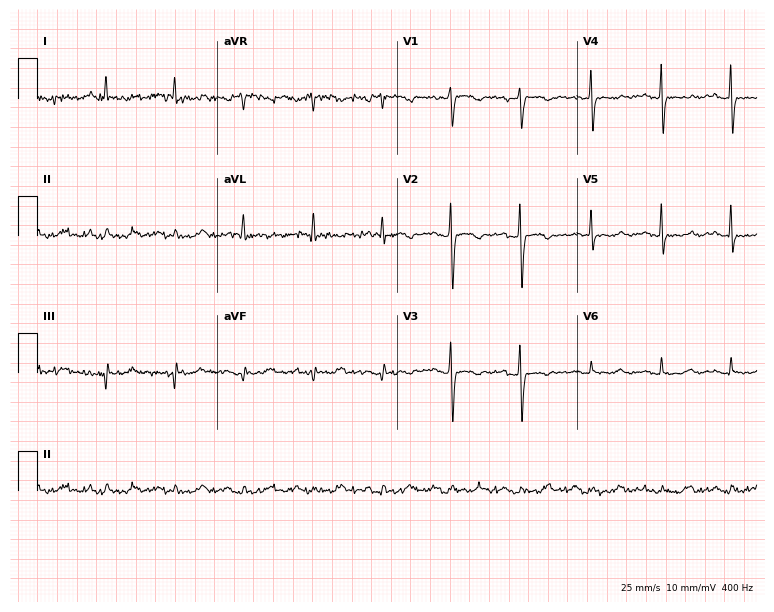
12-lead ECG from a female, 79 years old (7.3-second recording at 400 Hz). No first-degree AV block, right bundle branch block (RBBB), left bundle branch block (LBBB), sinus bradycardia, atrial fibrillation (AF) or sinus tachycardia recorded for this tracing. Only these six findings were labelled.